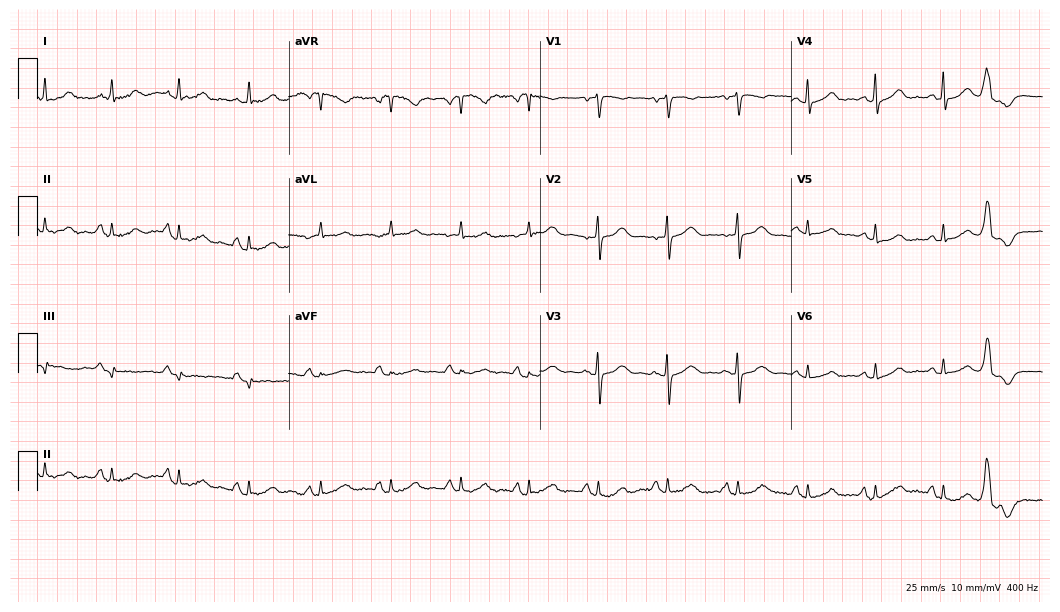
Electrocardiogram, a woman, 65 years old. Overall reading on record: normal ECG.